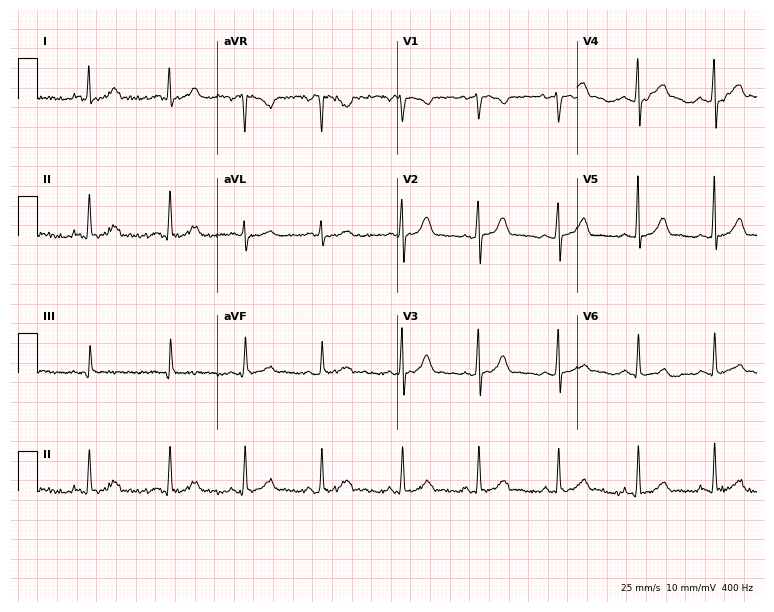
12-lead ECG from a woman, 30 years old. Recorded interpretation: within normal limits.